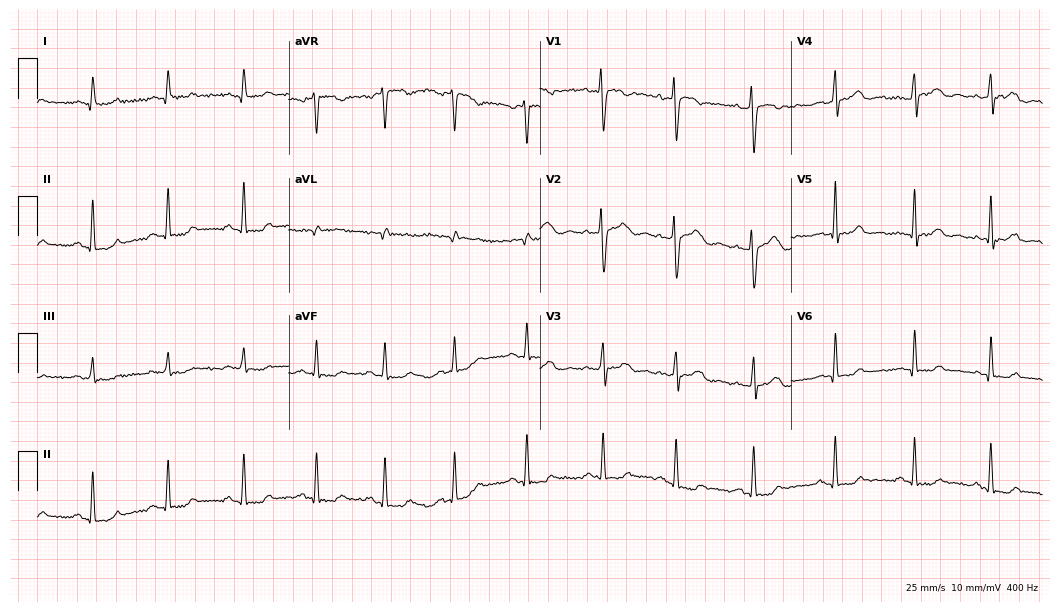
Resting 12-lead electrocardiogram. Patient: a female, 24 years old. Read as a normal ECG.